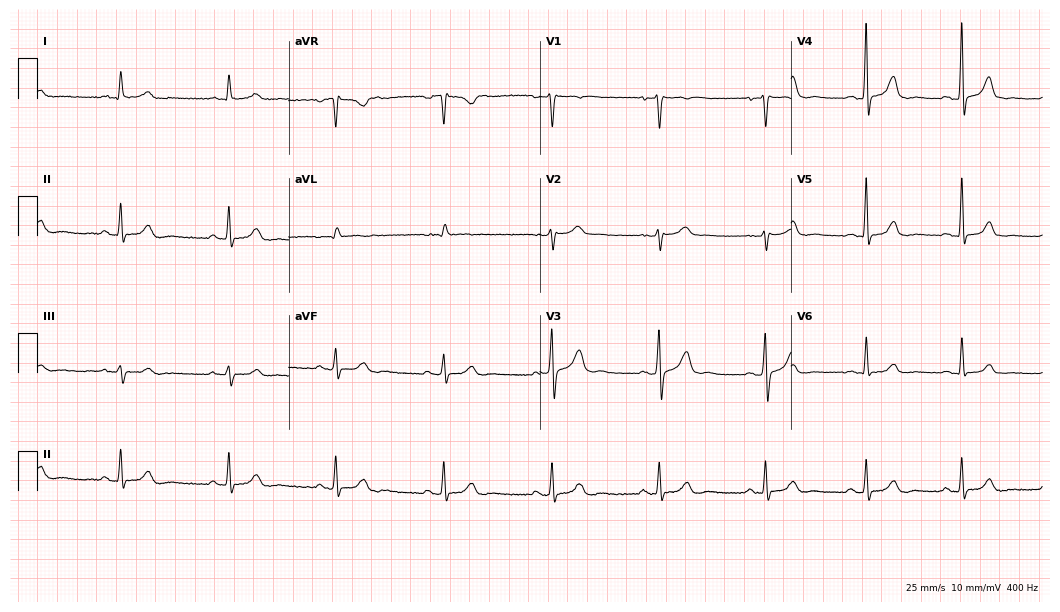
Electrocardiogram (10.2-second recording at 400 Hz), a 57-year-old female patient. Of the six screened findings (first-degree AV block, right bundle branch block, left bundle branch block, sinus bradycardia, atrial fibrillation, sinus tachycardia), none is recorded. Only these six findings were labelled.